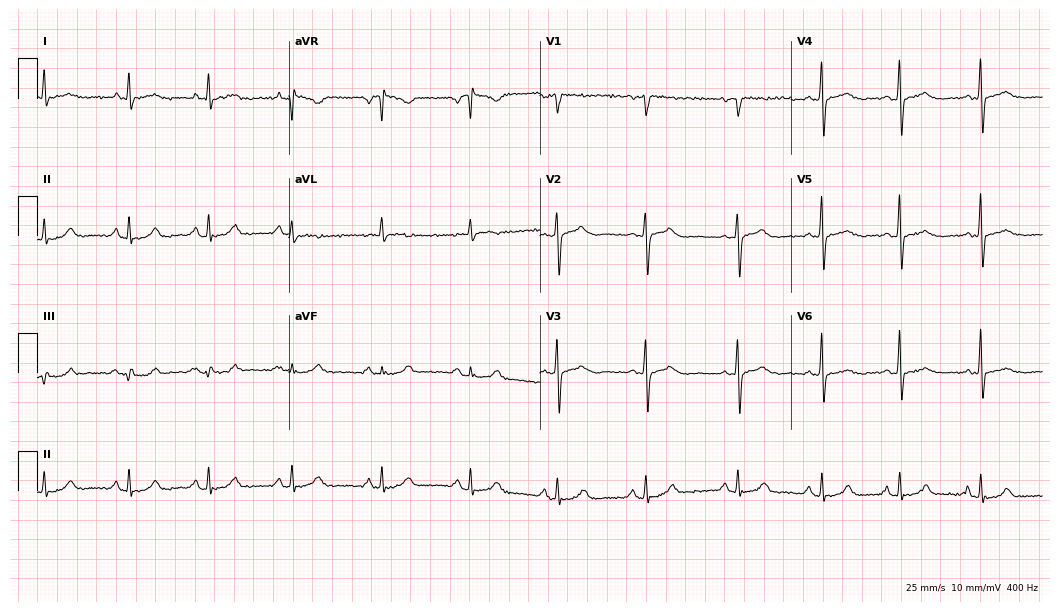
12-lead ECG from a 60-year-old female (10.2-second recording at 400 Hz). Recorded interpretation: within normal limits.